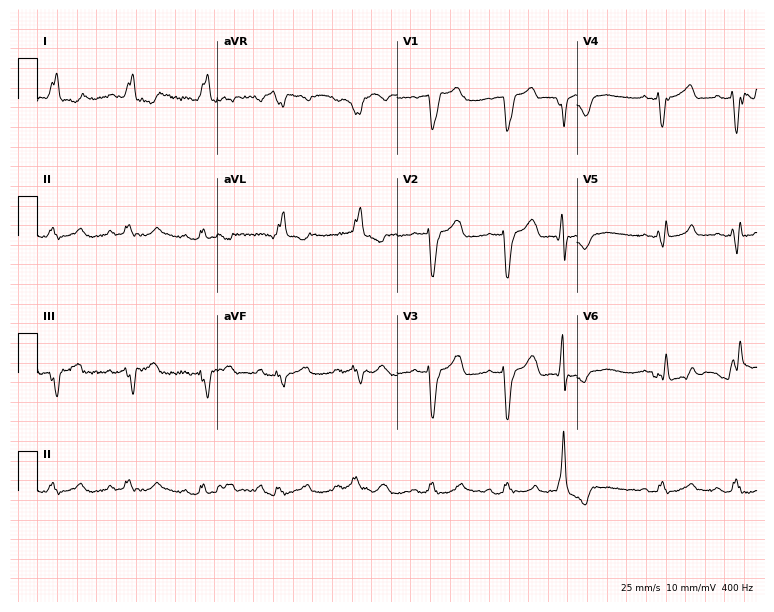
12-lead ECG from an 80-year-old female (7.3-second recording at 400 Hz). Shows left bundle branch block.